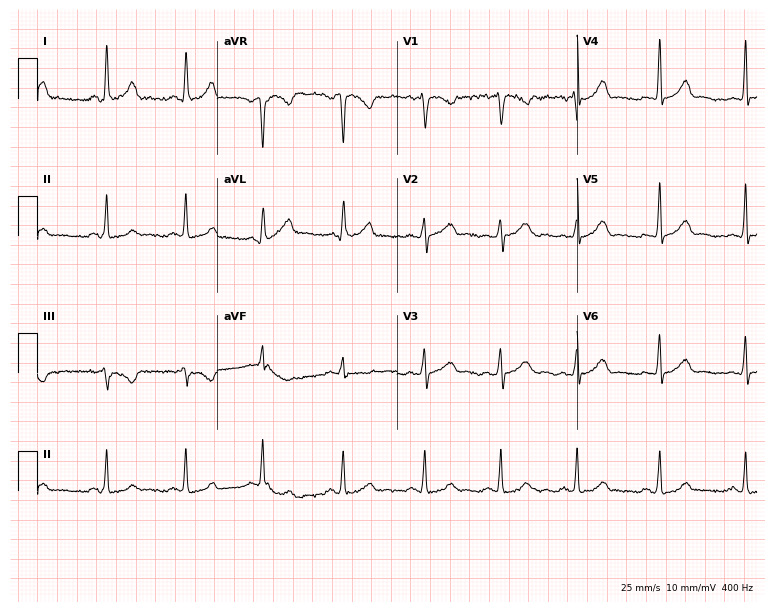
12-lead ECG from a female patient, 37 years old. Labelled as a normal ECG.